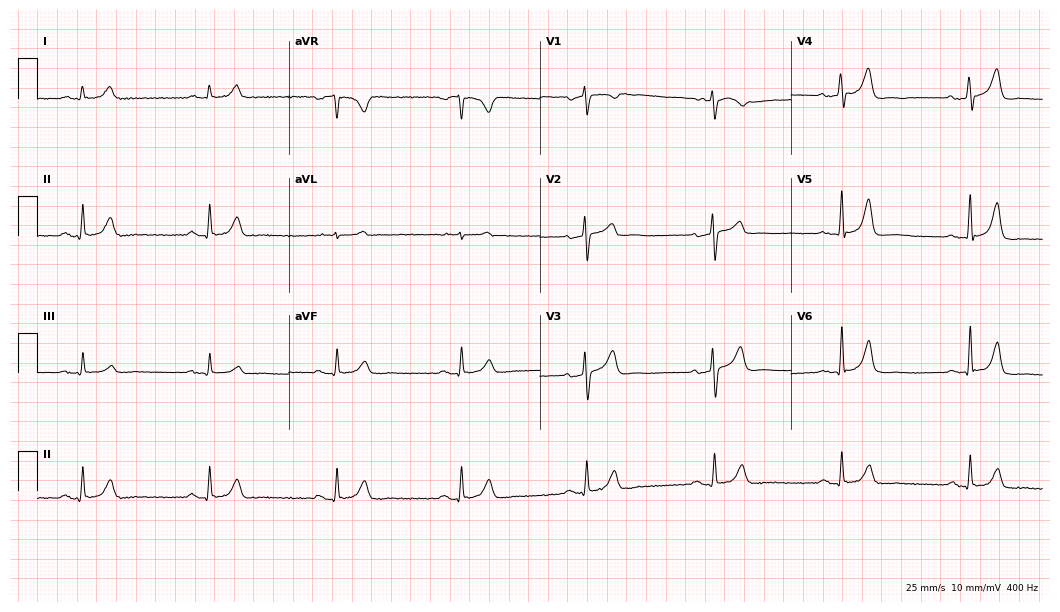
12-lead ECG from a 70-year-old man. Findings include sinus bradycardia (a sinus rate of 50 beats per minute or less).